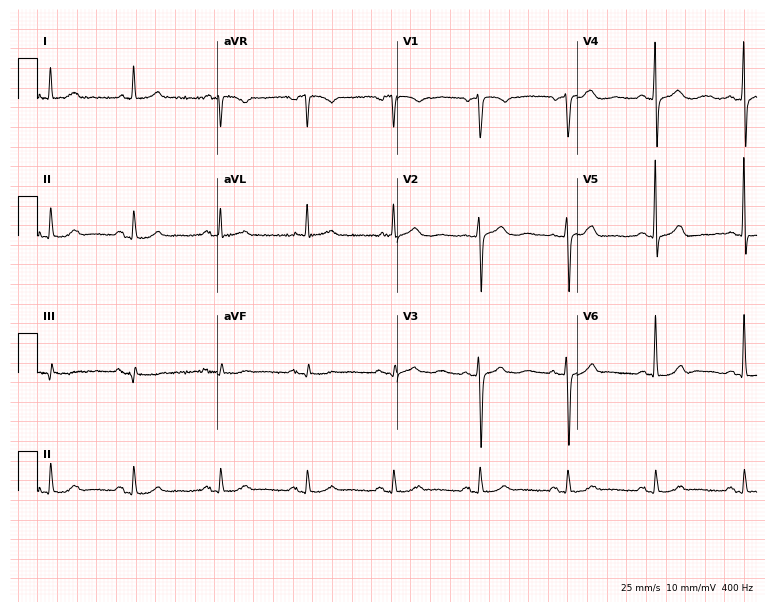
12-lead ECG (7.3-second recording at 400 Hz) from a 69-year-old woman. Labelled as a normal ECG.